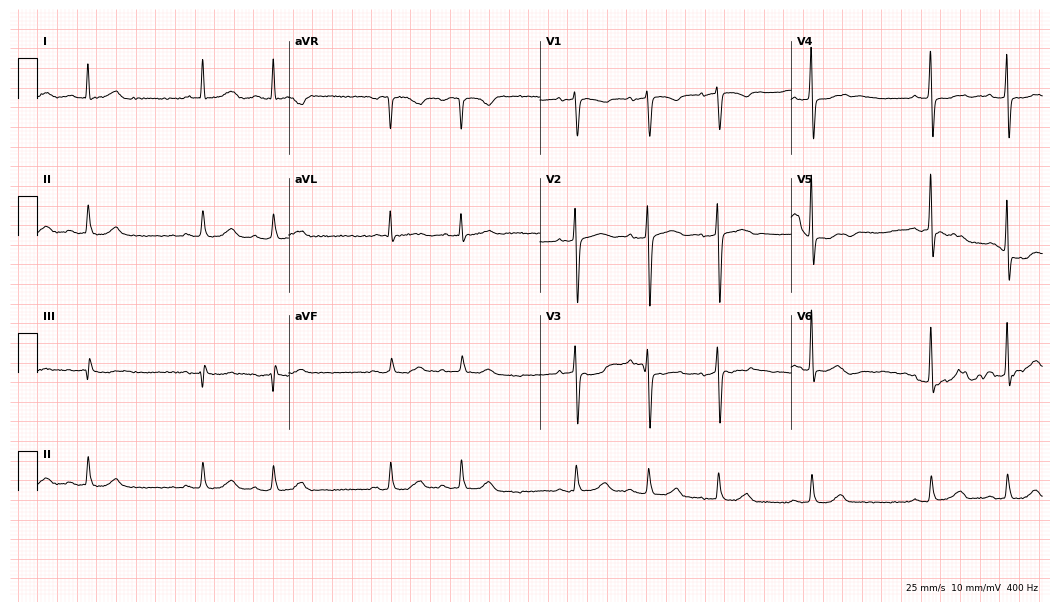
Standard 12-lead ECG recorded from a male, 79 years old. None of these six findings is recorded: first-degree AV block, right bundle branch block (RBBB), left bundle branch block (LBBB), sinus bradycardia, atrial fibrillation (AF), sinus tachycardia.